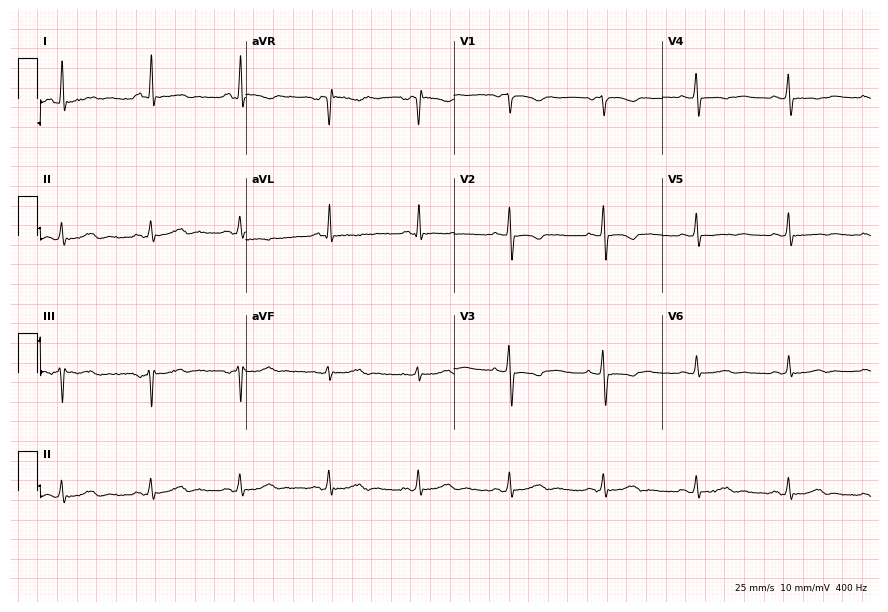
Standard 12-lead ECG recorded from a female patient, 56 years old. None of these six findings is recorded: first-degree AV block, right bundle branch block, left bundle branch block, sinus bradycardia, atrial fibrillation, sinus tachycardia. Other findings, if any, are not listed.